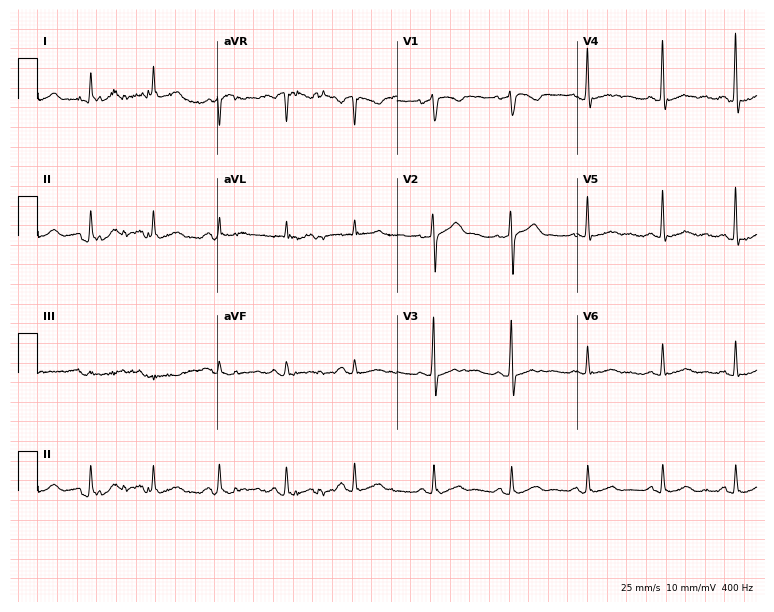
12-lead ECG from a 48-year-old man. Recorded interpretation: within normal limits.